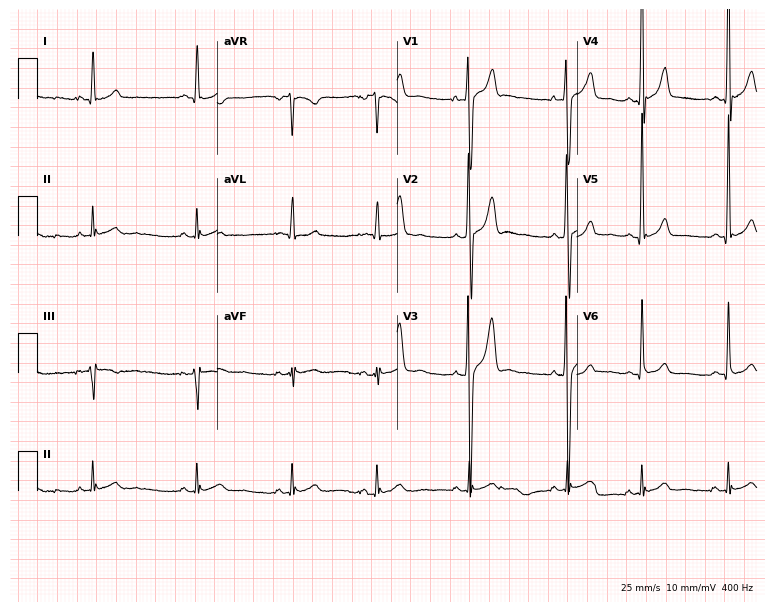
Standard 12-lead ECG recorded from a 17-year-old male patient. Read as a normal ECG.